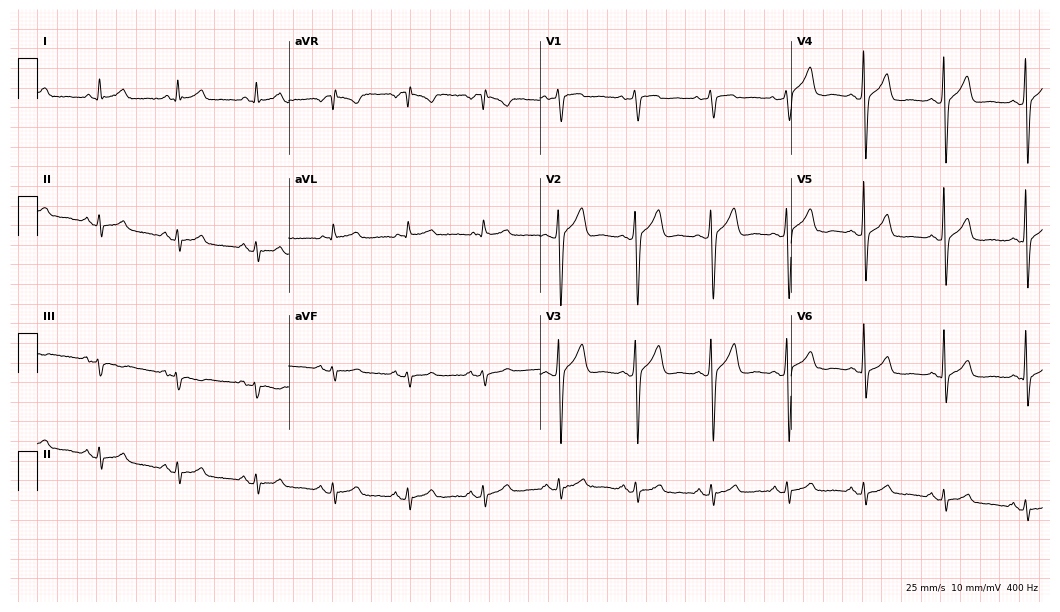
ECG (10.2-second recording at 400 Hz) — a 73-year-old male. Screened for six findings — first-degree AV block, right bundle branch block (RBBB), left bundle branch block (LBBB), sinus bradycardia, atrial fibrillation (AF), sinus tachycardia — none is recorded.